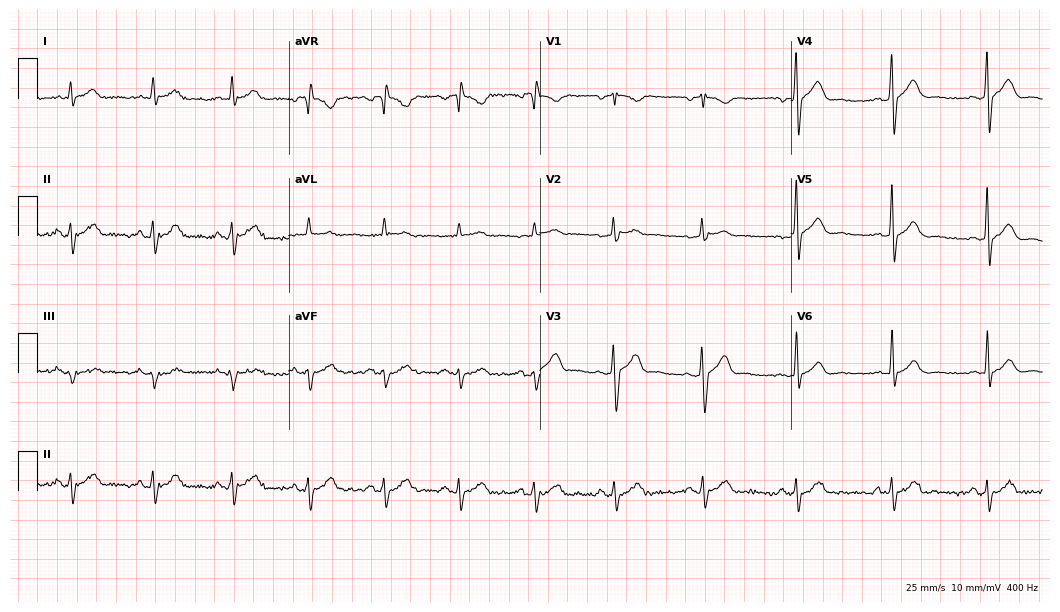
12-lead ECG from a man, 48 years old. Recorded interpretation: within normal limits.